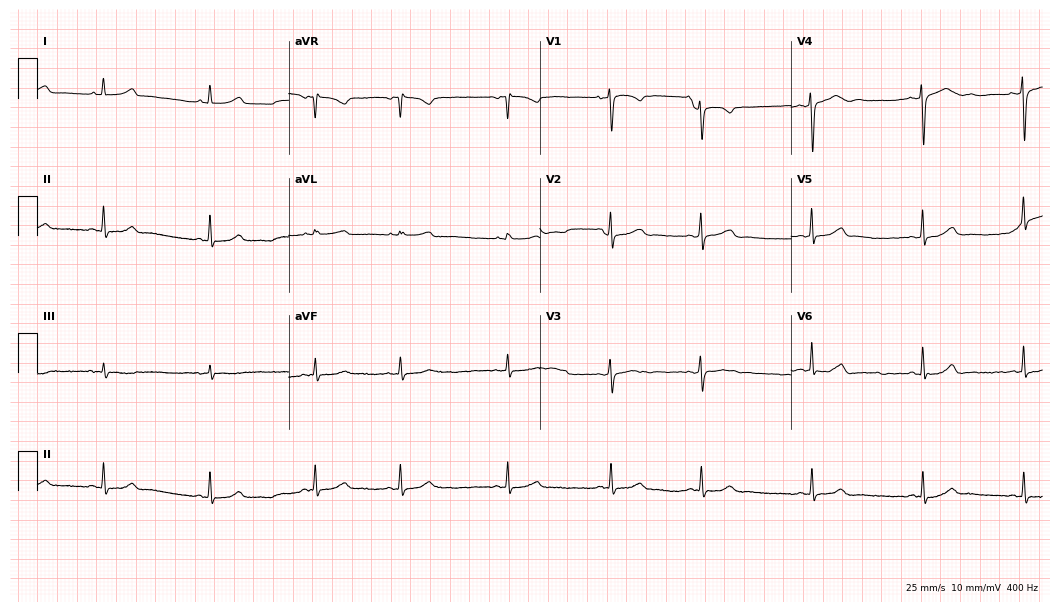
ECG (10.2-second recording at 400 Hz) — a female patient, 21 years old. Labelled as a normal ECG.